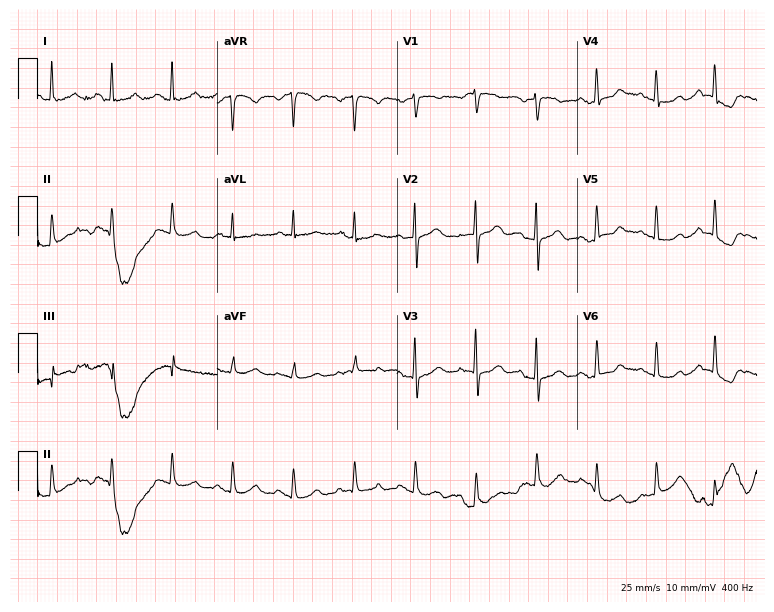
Electrocardiogram, a female, 69 years old. Overall reading on record: normal ECG.